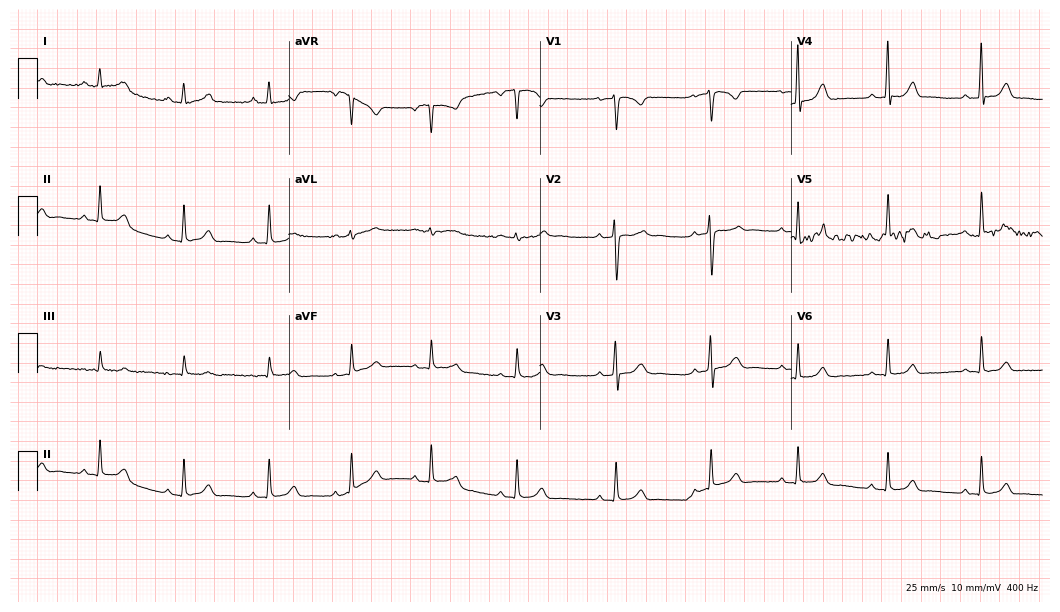
12-lead ECG from a 34-year-old female. No first-degree AV block, right bundle branch block, left bundle branch block, sinus bradycardia, atrial fibrillation or sinus tachycardia recorded for this tracing.